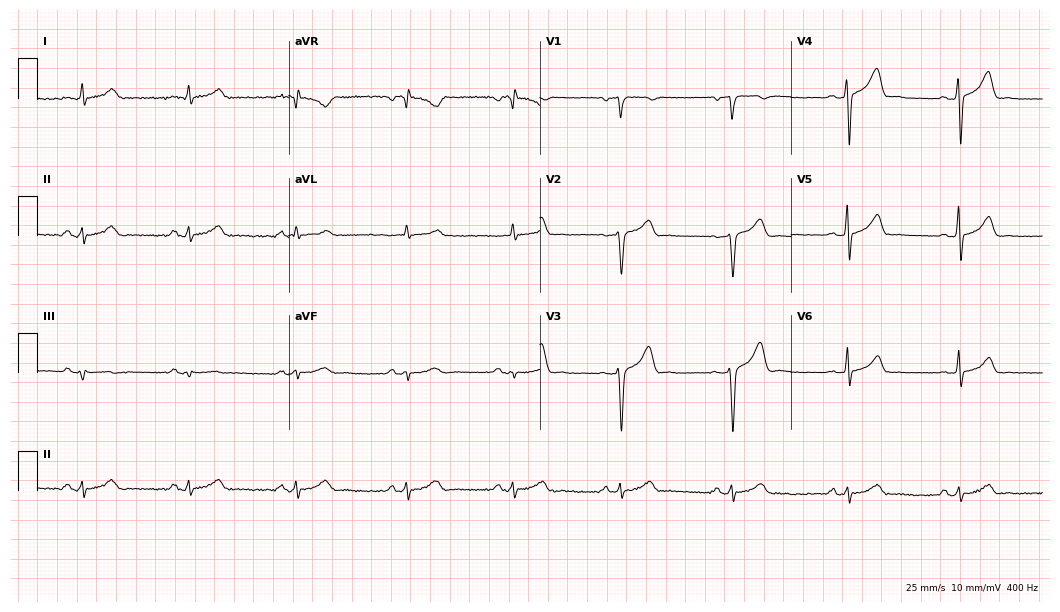
Electrocardiogram (10.2-second recording at 400 Hz), a 42-year-old male. Overall reading on record: normal ECG.